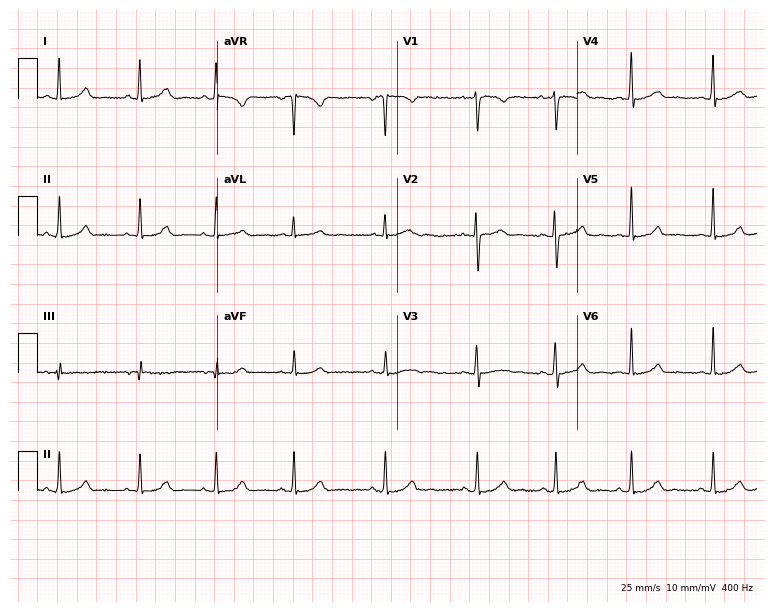
Electrocardiogram, a woman, 31 years old. Overall reading on record: normal ECG.